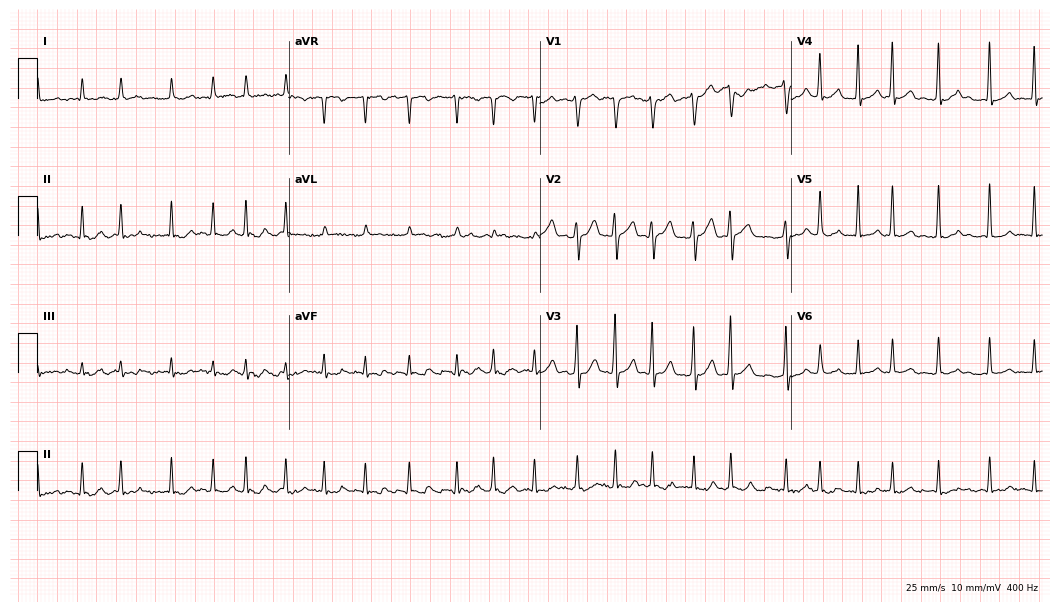
Electrocardiogram, a 68-year-old male. Interpretation includes atrial fibrillation.